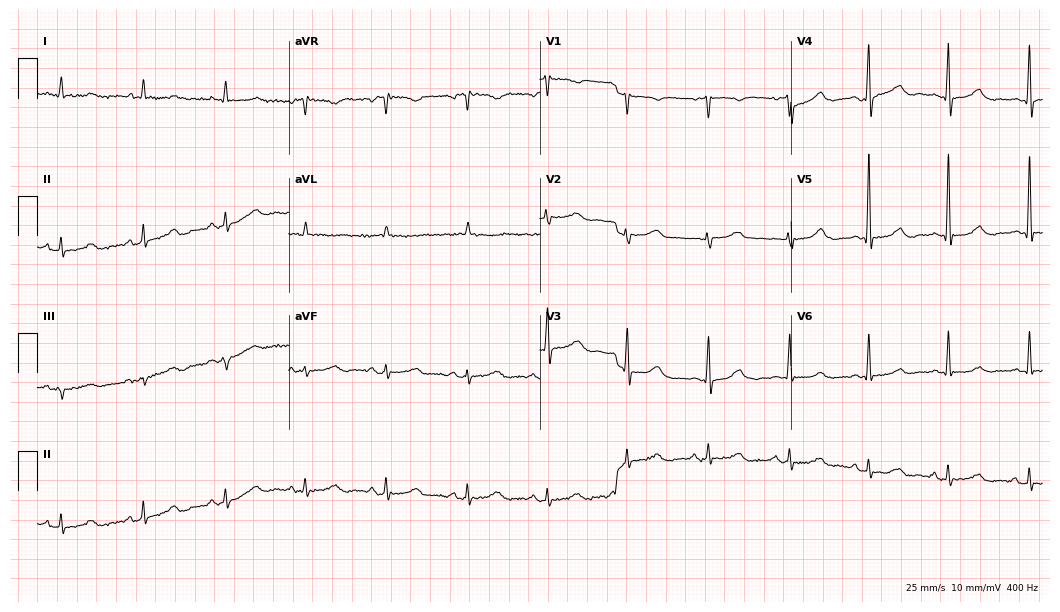
12-lead ECG from a female patient, 71 years old (10.2-second recording at 400 Hz). No first-degree AV block, right bundle branch block, left bundle branch block, sinus bradycardia, atrial fibrillation or sinus tachycardia recorded for this tracing.